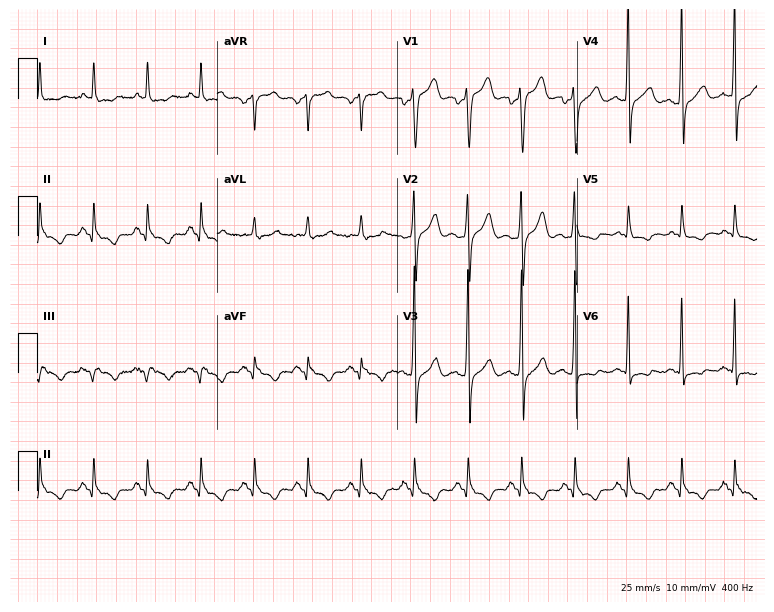
12-lead ECG (7.3-second recording at 400 Hz) from a 69-year-old male. Findings include sinus tachycardia (a sinus rate of 100 beats per minute or more).